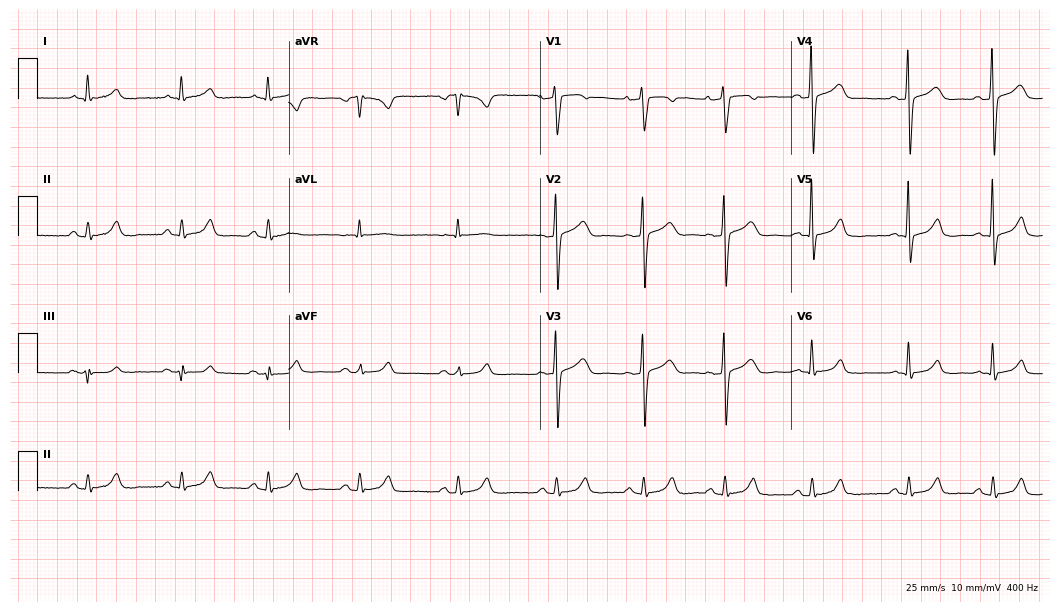
Standard 12-lead ECG recorded from a 60-year-old male. Read as a normal ECG.